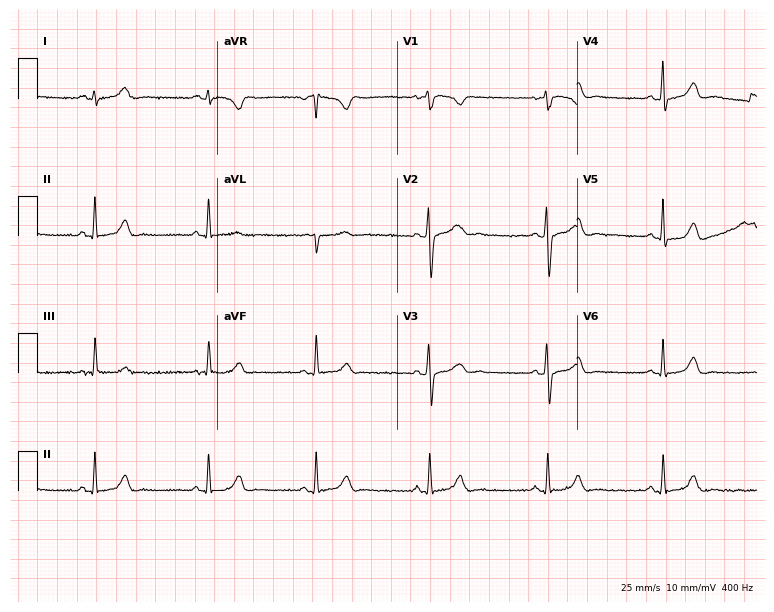
12-lead ECG from a female patient, 31 years old. Recorded interpretation: within normal limits.